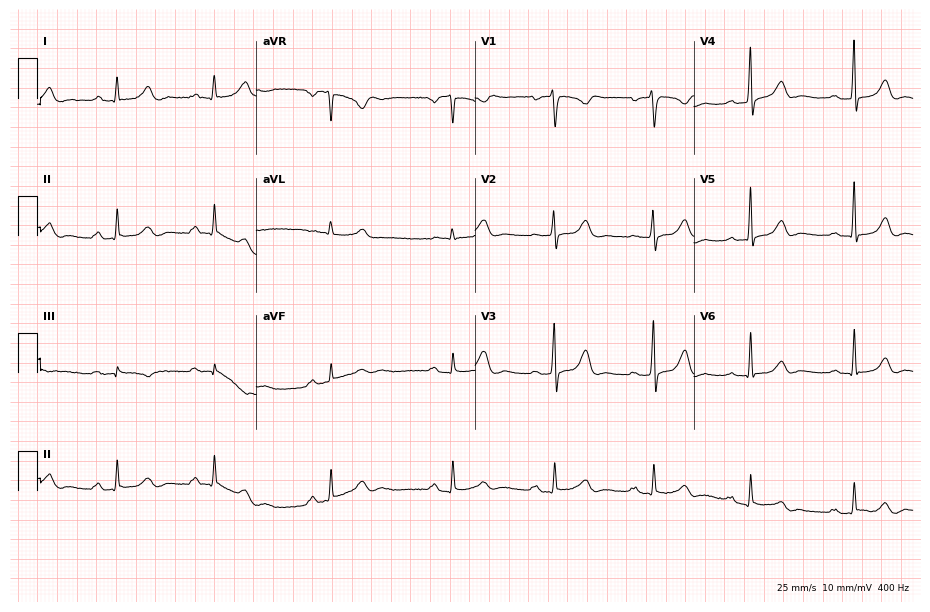
Resting 12-lead electrocardiogram (8.9-second recording at 400 Hz). Patient: a male, 35 years old. The tracing shows first-degree AV block.